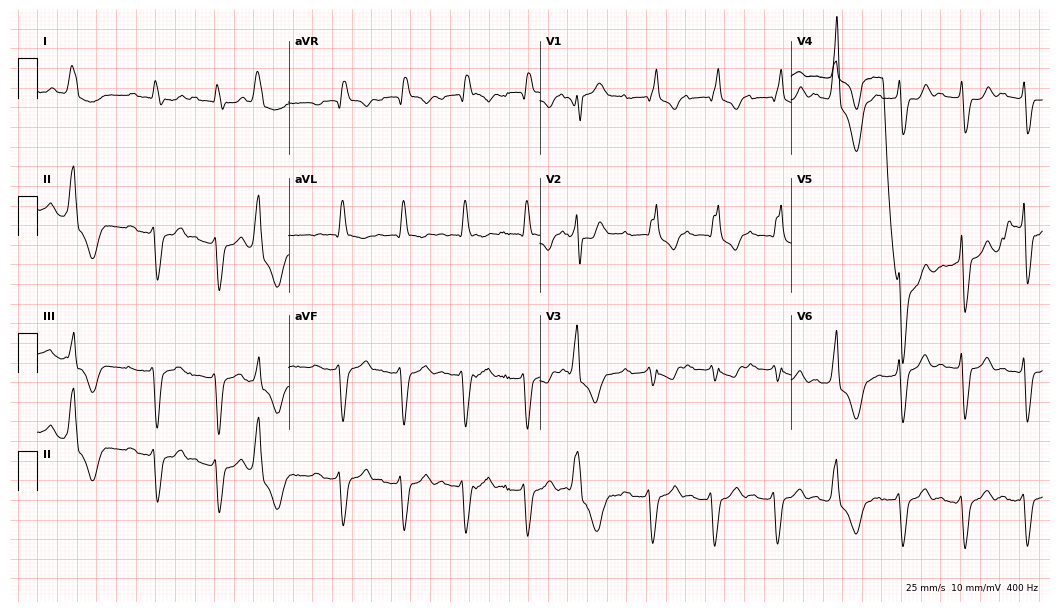
12-lead ECG from a male, 87 years old. Findings include right bundle branch block, left bundle branch block.